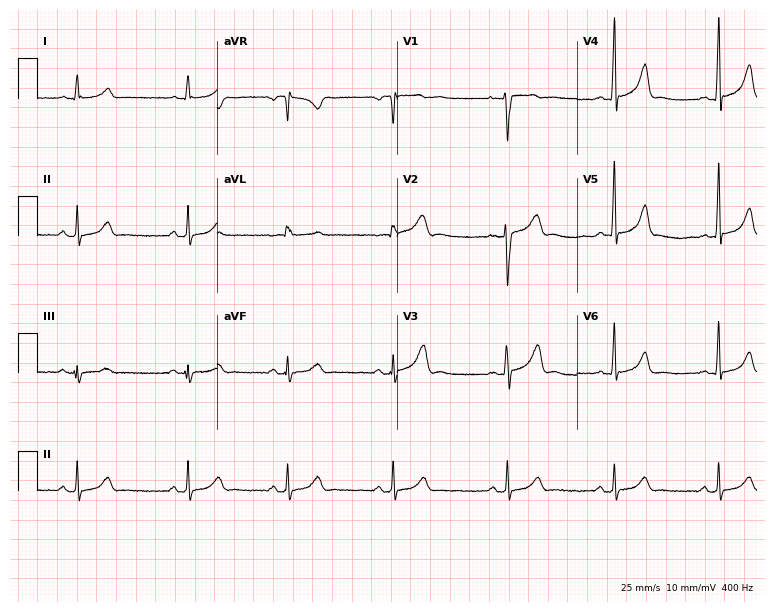
12-lead ECG from a female, 27 years old (7.3-second recording at 400 Hz). Recorded interpretation: within normal limits.